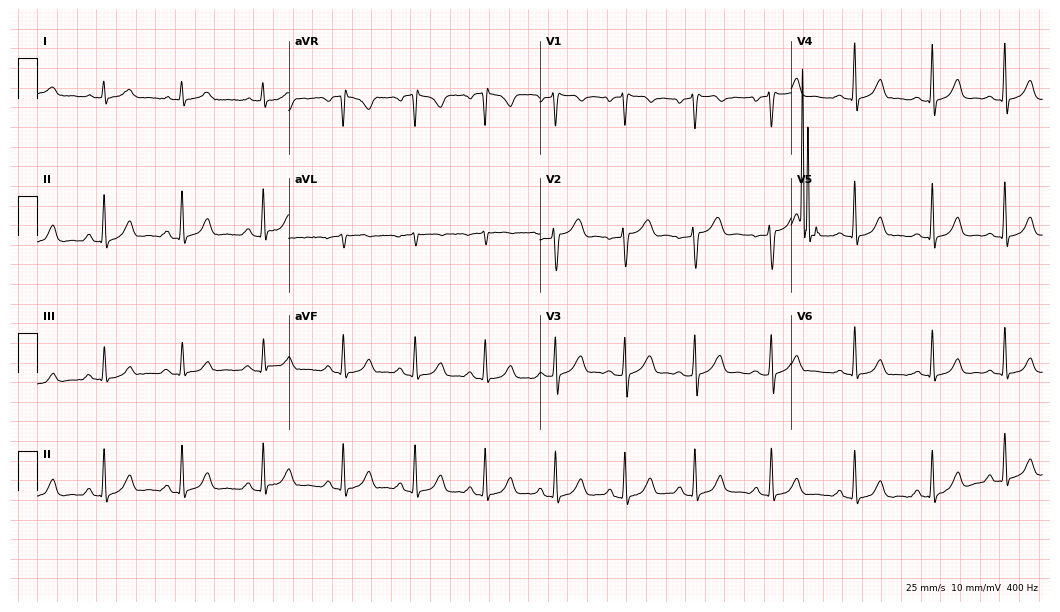
12-lead ECG from a 33-year-old woman. Labelled as a normal ECG.